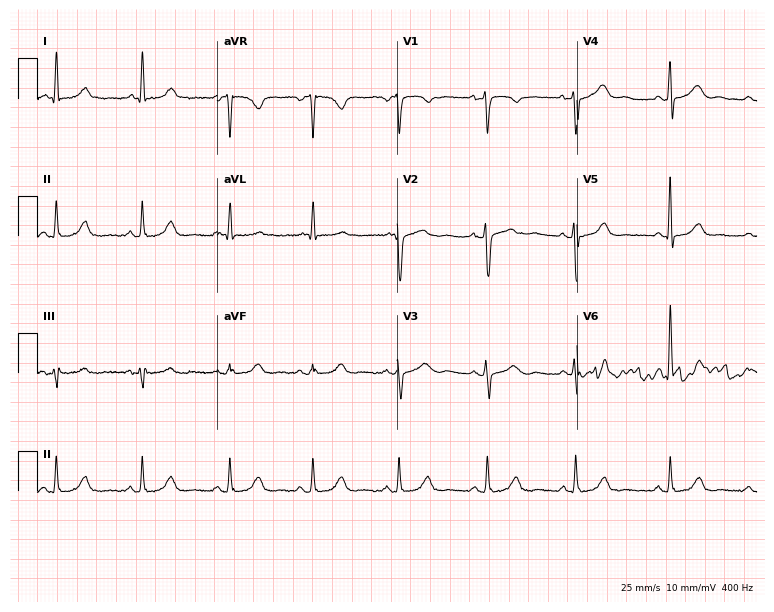
12-lead ECG (7.3-second recording at 400 Hz) from a 50-year-old woman. Labelled as a normal ECG.